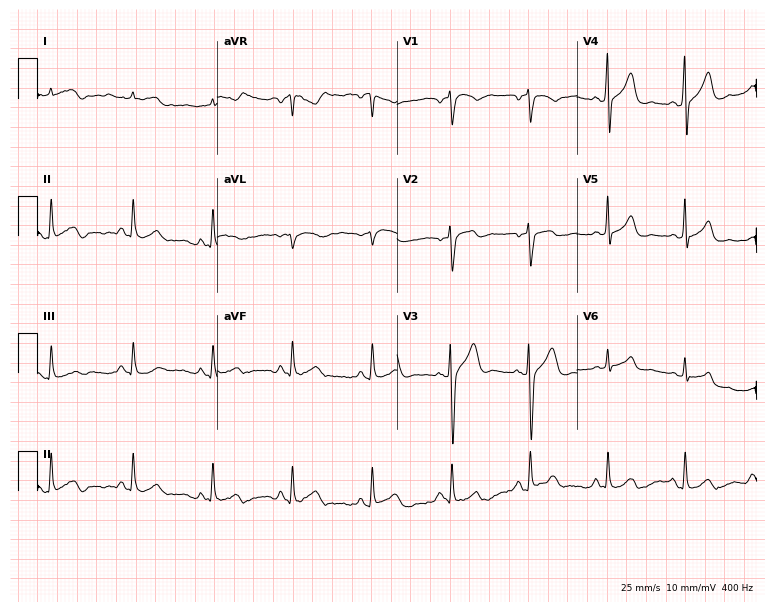
12-lead ECG from a man, 47 years old. Screened for six findings — first-degree AV block, right bundle branch block, left bundle branch block, sinus bradycardia, atrial fibrillation, sinus tachycardia — none is recorded. Findings outside these six are not listed.